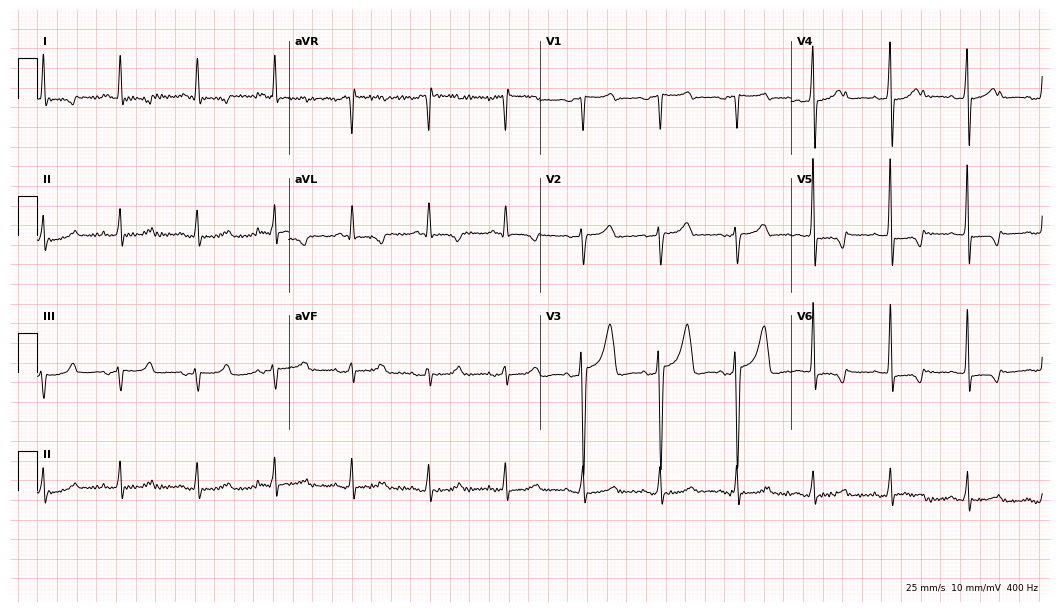
12-lead ECG from a man, 35 years old. No first-degree AV block, right bundle branch block (RBBB), left bundle branch block (LBBB), sinus bradycardia, atrial fibrillation (AF) or sinus tachycardia recorded for this tracing. Findings outside these six are not listed.